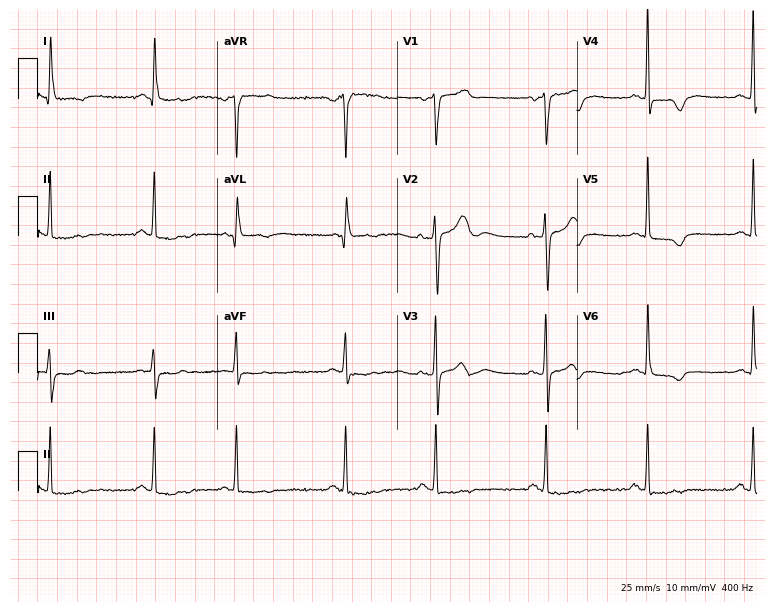
12-lead ECG from a 65-year-old female patient. Recorded interpretation: within normal limits.